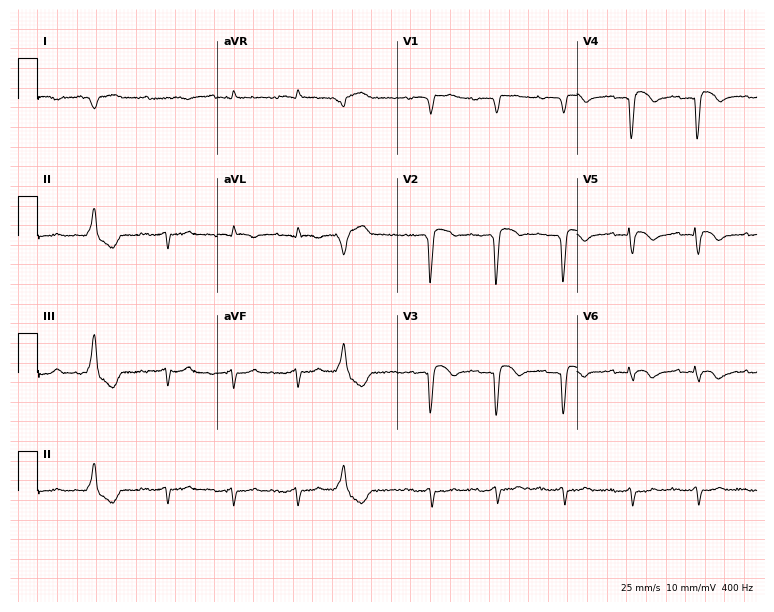
Standard 12-lead ECG recorded from a male patient, 83 years old. The tracing shows first-degree AV block.